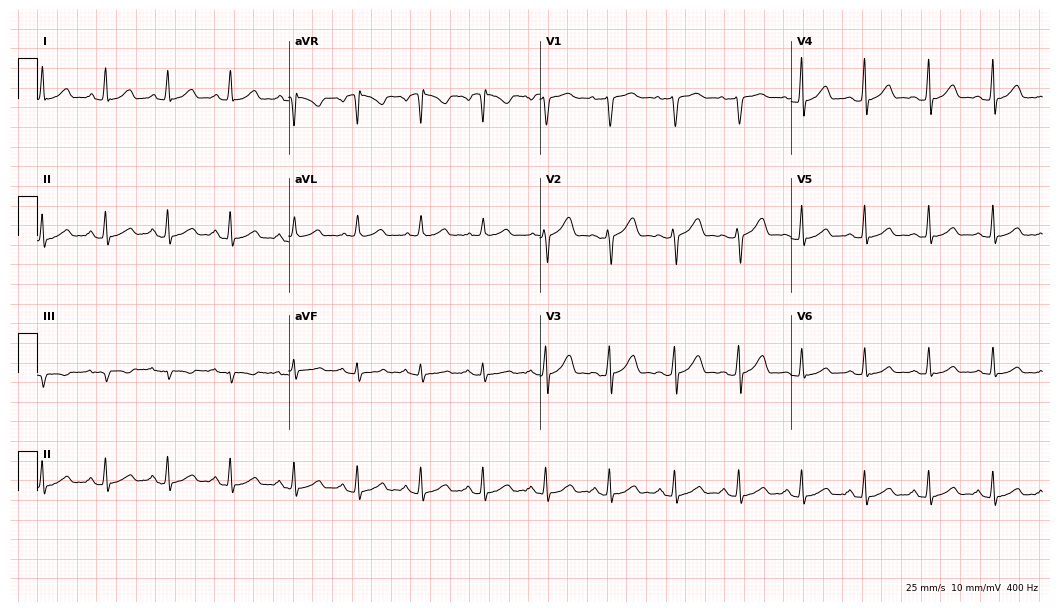
ECG — a female, 39 years old. Screened for six findings — first-degree AV block, right bundle branch block (RBBB), left bundle branch block (LBBB), sinus bradycardia, atrial fibrillation (AF), sinus tachycardia — none is recorded. Findings outside these six are not listed.